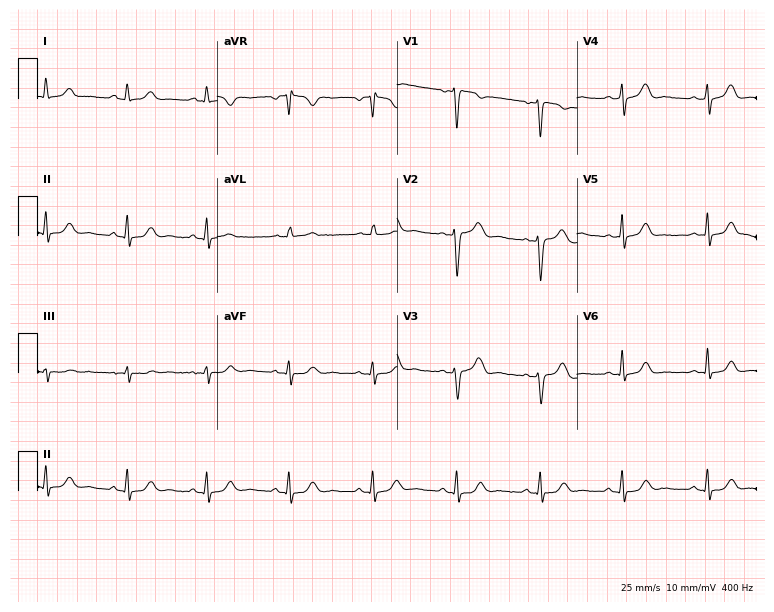
Resting 12-lead electrocardiogram (7.3-second recording at 400 Hz). Patient: a 46-year-old female. None of these six findings is recorded: first-degree AV block, right bundle branch block (RBBB), left bundle branch block (LBBB), sinus bradycardia, atrial fibrillation (AF), sinus tachycardia. Only these six findings were labelled.